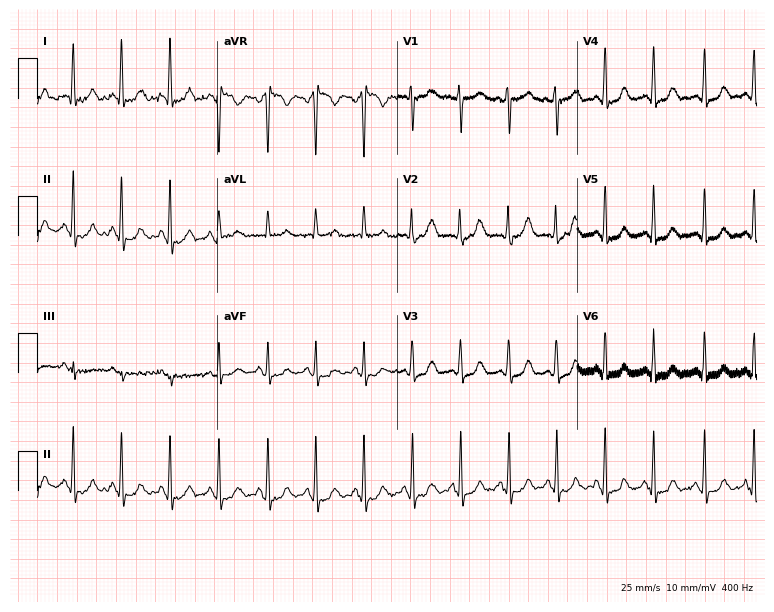
12-lead ECG (7.3-second recording at 400 Hz) from a 34-year-old female patient. Findings include sinus tachycardia (a sinus rate of 100 beats per minute or more).